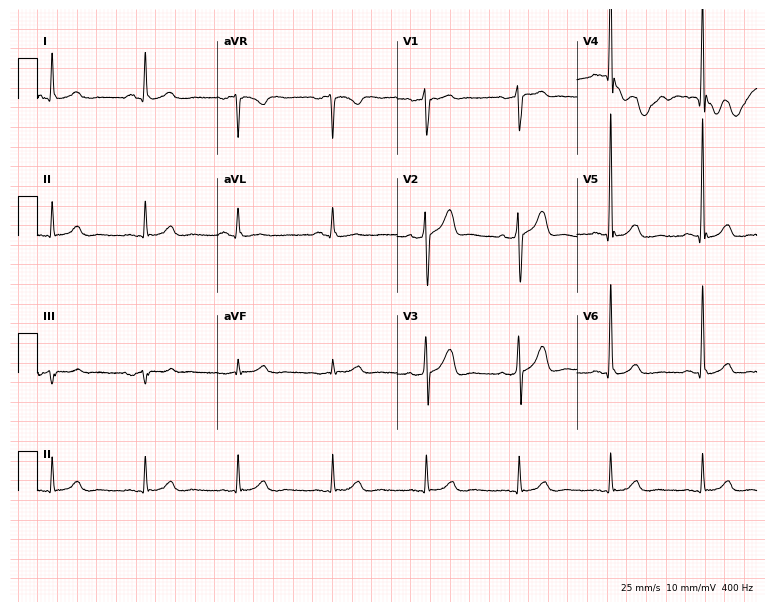
Standard 12-lead ECG recorded from a 66-year-old man (7.3-second recording at 400 Hz). None of these six findings is recorded: first-degree AV block, right bundle branch block, left bundle branch block, sinus bradycardia, atrial fibrillation, sinus tachycardia.